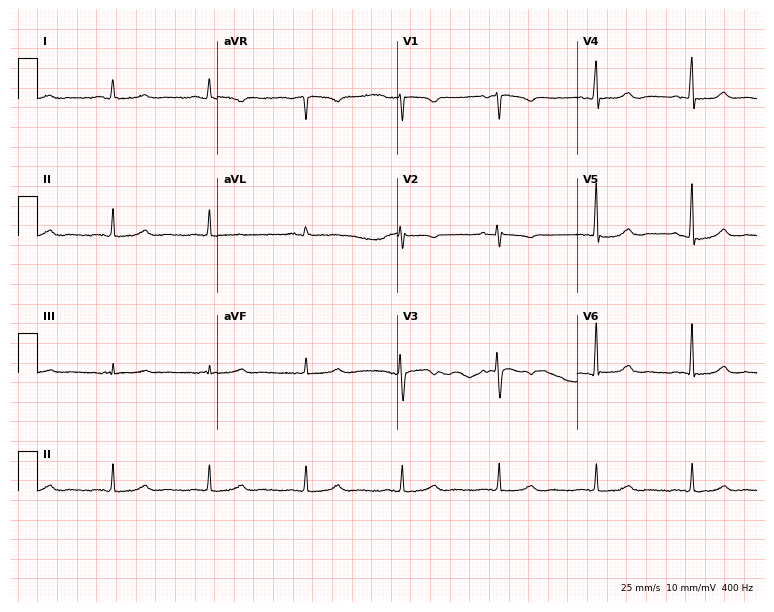
ECG — a 47-year-old female patient. Screened for six findings — first-degree AV block, right bundle branch block (RBBB), left bundle branch block (LBBB), sinus bradycardia, atrial fibrillation (AF), sinus tachycardia — none is recorded.